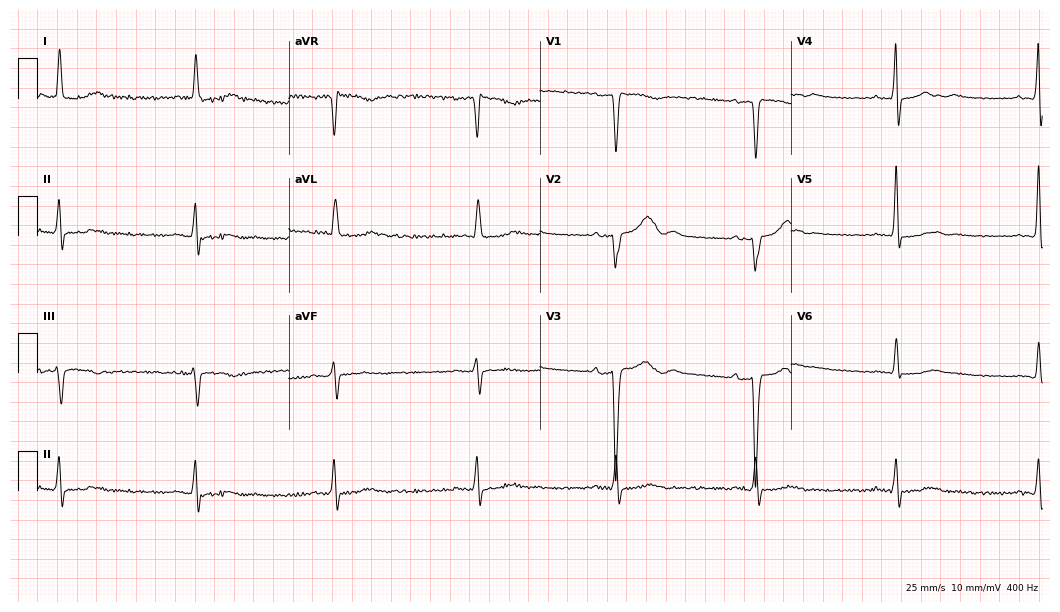
ECG — a woman, 79 years old. Findings include sinus bradycardia (a sinus rate of 50 beats per minute or less).